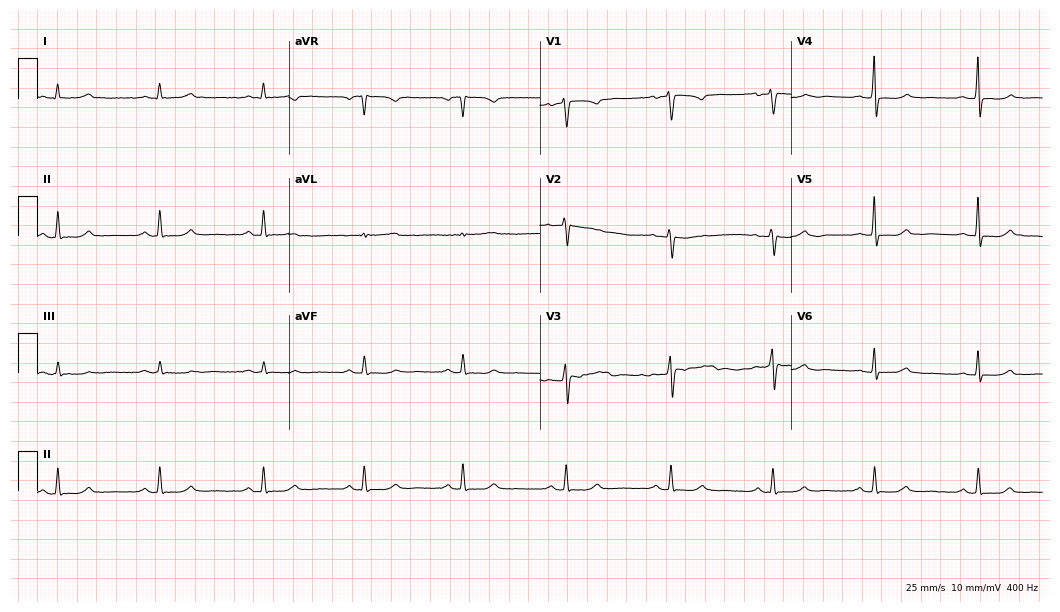
Electrocardiogram (10.2-second recording at 400 Hz), a 61-year-old female patient. Of the six screened findings (first-degree AV block, right bundle branch block (RBBB), left bundle branch block (LBBB), sinus bradycardia, atrial fibrillation (AF), sinus tachycardia), none is recorded. Findings outside these six are not listed.